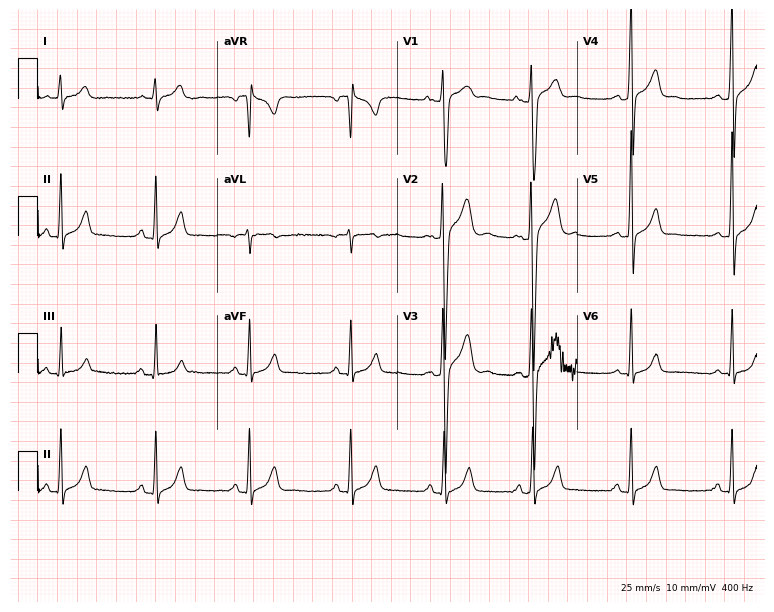
Electrocardiogram, a 17-year-old male. Of the six screened findings (first-degree AV block, right bundle branch block, left bundle branch block, sinus bradycardia, atrial fibrillation, sinus tachycardia), none is recorded. Findings outside these six are not listed.